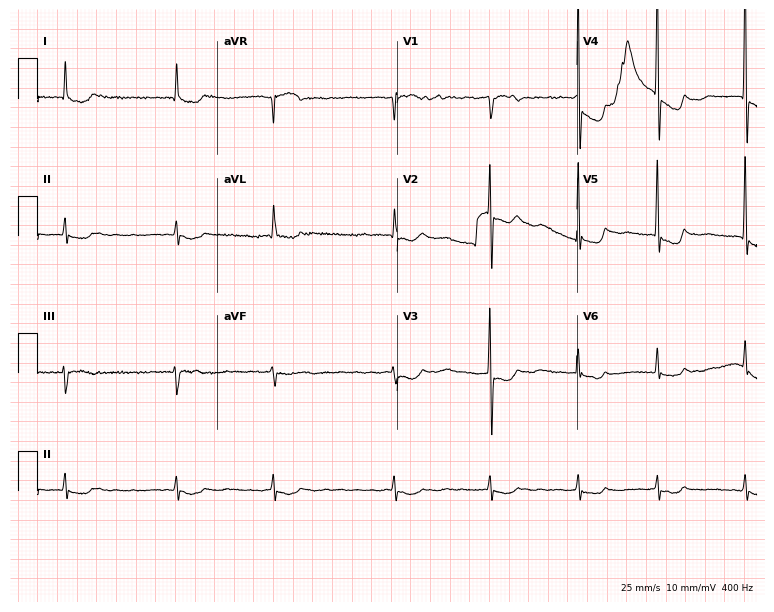
Standard 12-lead ECG recorded from an 81-year-old male (7.3-second recording at 400 Hz). The tracing shows atrial fibrillation.